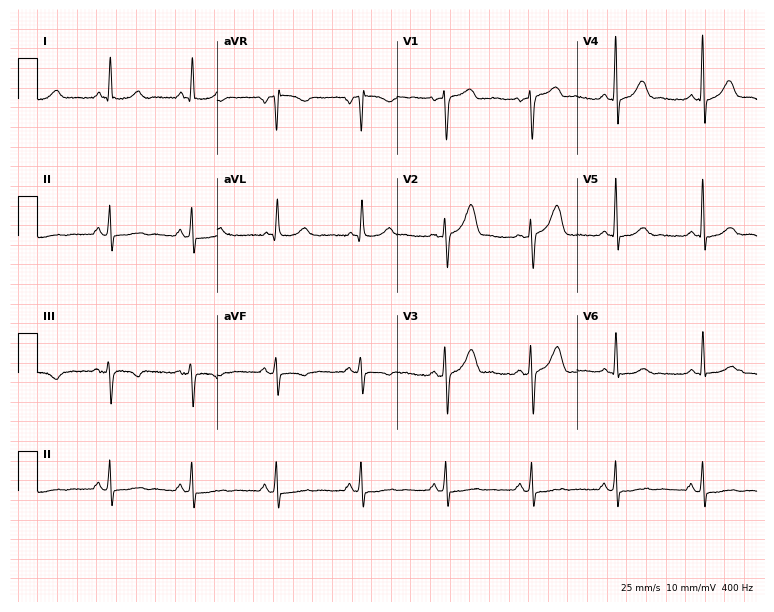
12-lead ECG from a 59-year-old male. Labelled as a normal ECG.